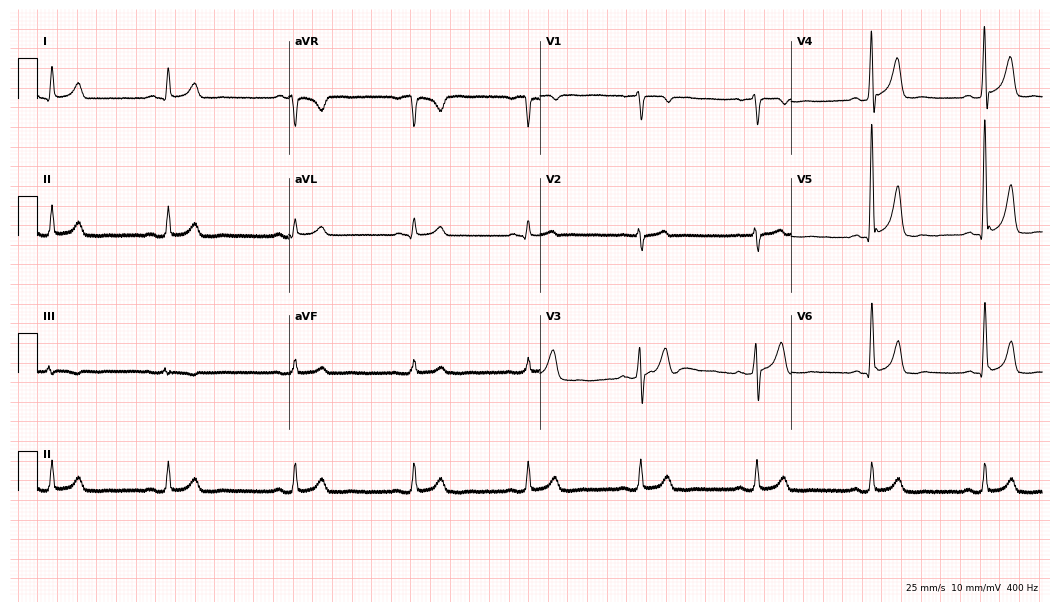
12-lead ECG from a male patient, 70 years old. Shows sinus bradycardia (a sinus rate of 50 beats per minute or less).